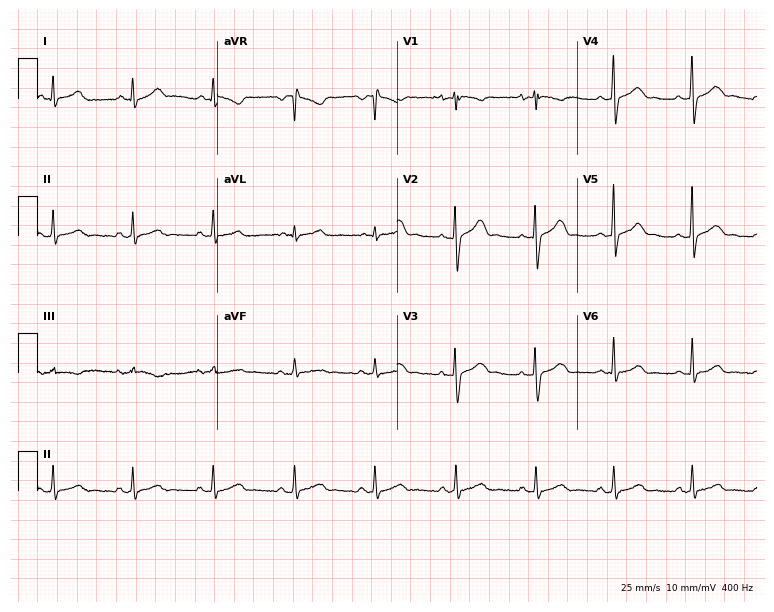
12-lead ECG from a female patient, 37 years old. Labelled as a normal ECG.